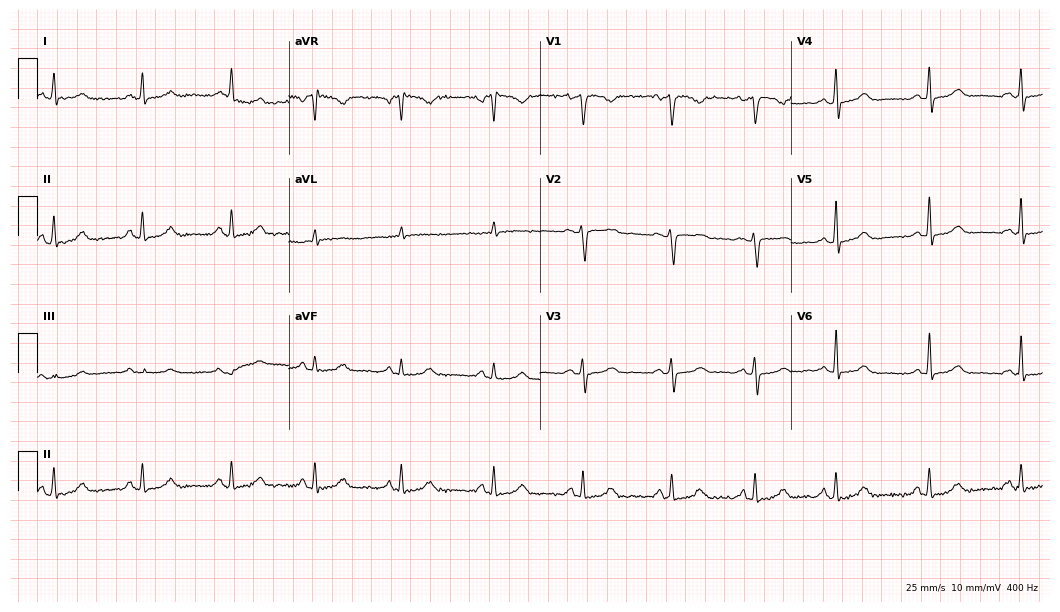
Standard 12-lead ECG recorded from a 44-year-old female (10.2-second recording at 400 Hz). Read as a normal ECG.